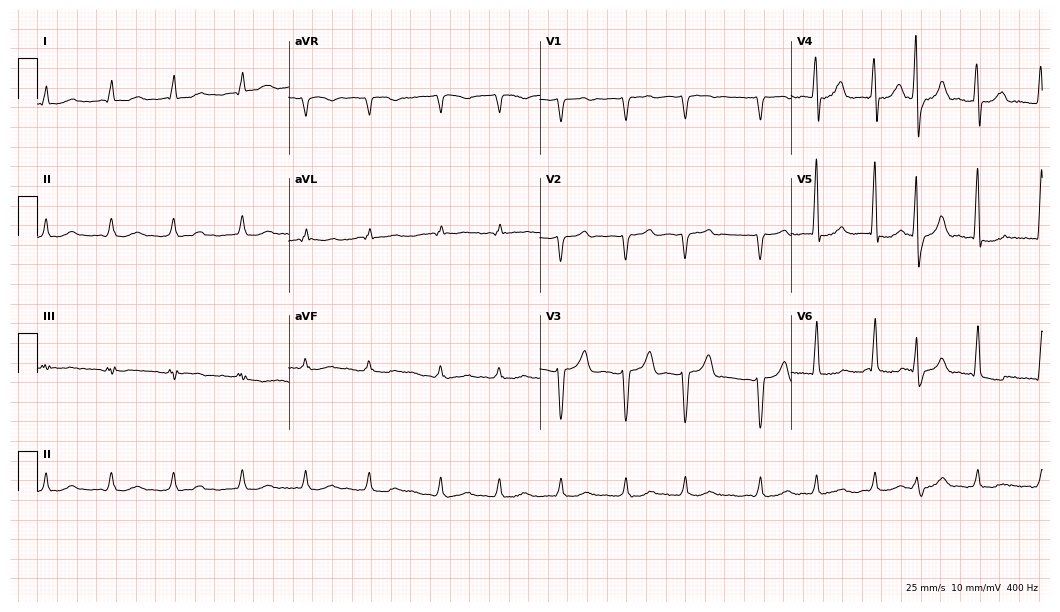
Resting 12-lead electrocardiogram (10.2-second recording at 400 Hz). Patient: a male, 78 years old. The tracing shows atrial fibrillation.